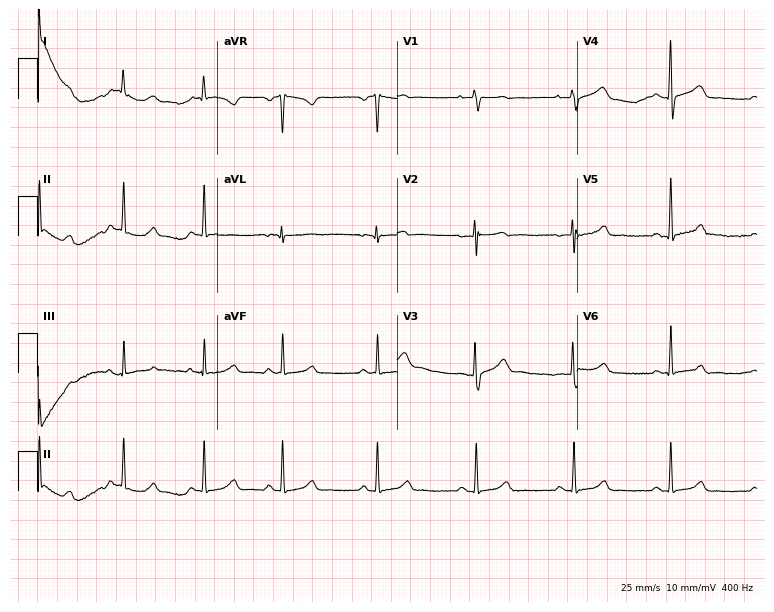
Electrocardiogram (7.3-second recording at 400 Hz), a woman, 29 years old. Of the six screened findings (first-degree AV block, right bundle branch block, left bundle branch block, sinus bradycardia, atrial fibrillation, sinus tachycardia), none is recorded. Other findings, if any, are not listed.